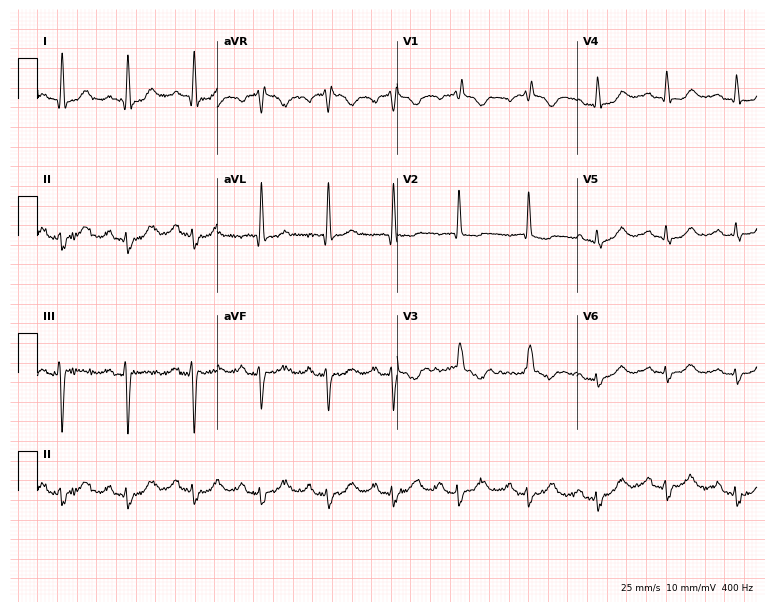
12-lead ECG (7.3-second recording at 400 Hz) from a woman, 58 years old. Screened for six findings — first-degree AV block, right bundle branch block, left bundle branch block, sinus bradycardia, atrial fibrillation, sinus tachycardia — none is recorded. Only these six findings were labelled.